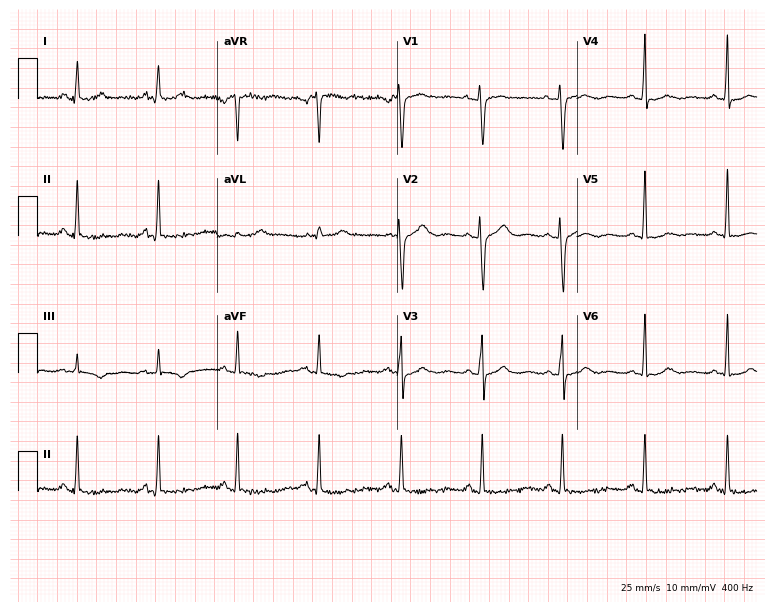
ECG (7.3-second recording at 400 Hz) — a female patient, 39 years old. Screened for six findings — first-degree AV block, right bundle branch block, left bundle branch block, sinus bradycardia, atrial fibrillation, sinus tachycardia — none is recorded. Other findings, if any, are not listed.